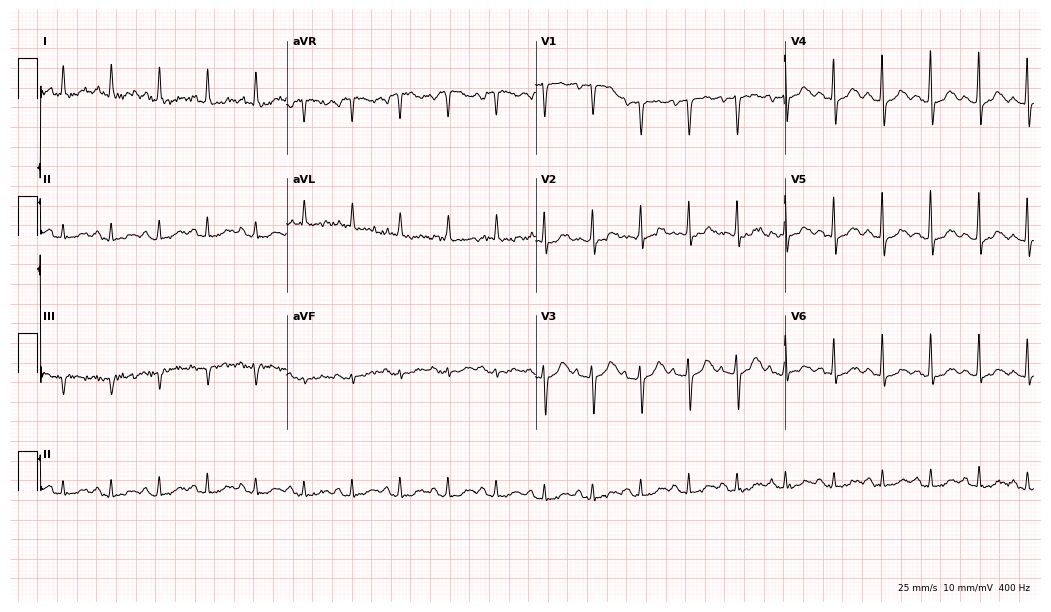
Resting 12-lead electrocardiogram (10.2-second recording at 400 Hz). Patient: a 75-year-old female. None of these six findings is recorded: first-degree AV block, right bundle branch block, left bundle branch block, sinus bradycardia, atrial fibrillation, sinus tachycardia.